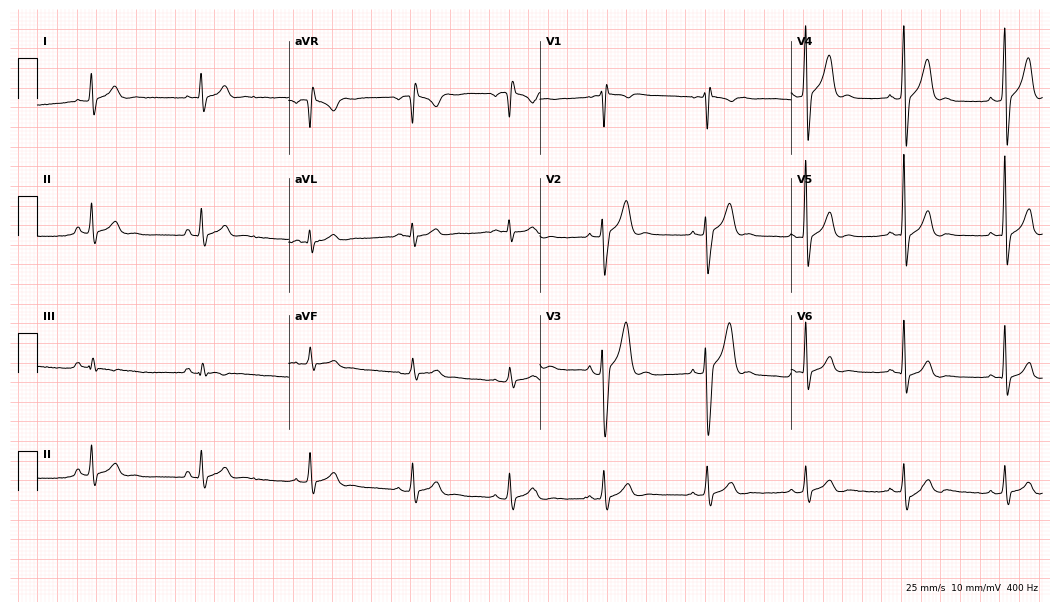
Electrocardiogram, a male, 21 years old. Of the six screened findings (first-degree AV block, right bundle branch block (RBBB), left bundle branch block (LBBB), sinus bradycardia, atrial fibrillation (AF), sinus tachycardia), none is recorded. Only these six findings were labelled.